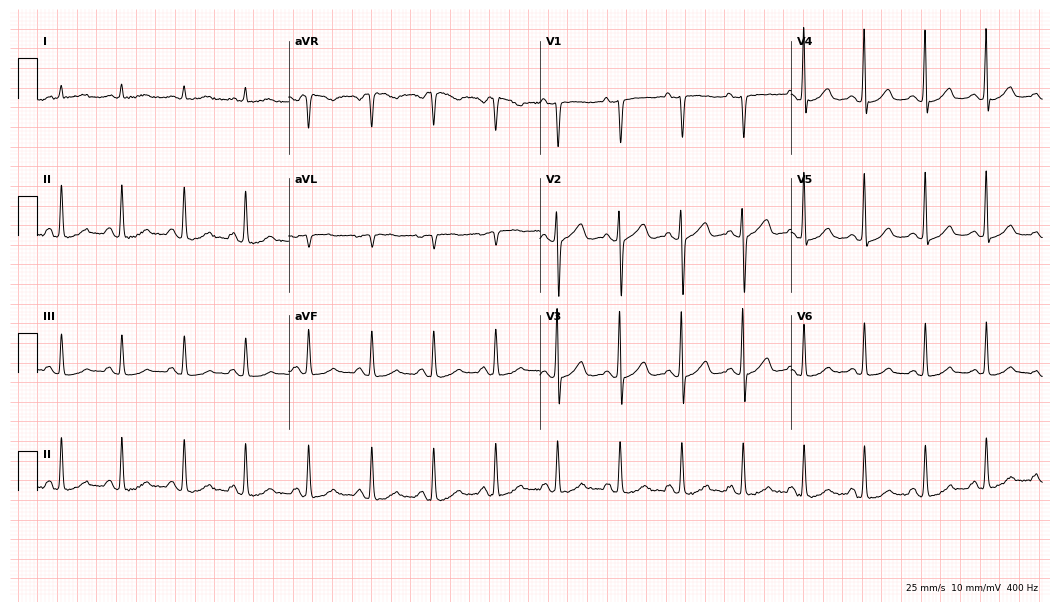
12-lead ECG from a 55-year-old woman (10.2-second recording at 400 Hz). Recorded interpretation: within normal limits.